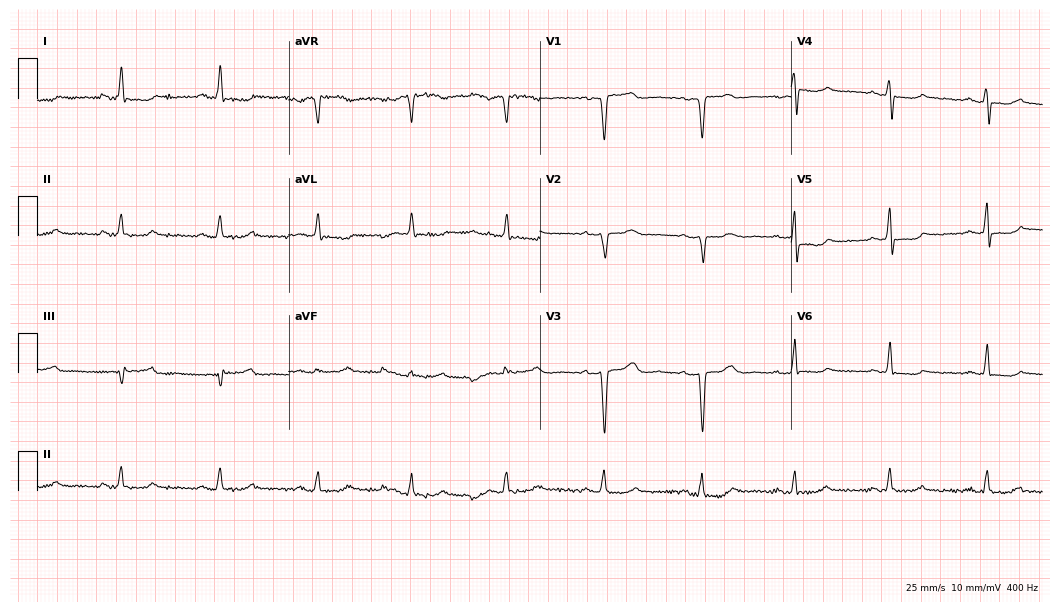
Standard 12-lead ECG recorded from a female, 61 years old (10.2-second recording at 400 Hz). None of these six findings is recorded: first-degree AV block, right bundle branch block, left bundle branch block, sinus bradycardia, atrial fibrillation, sinus tachycardia.